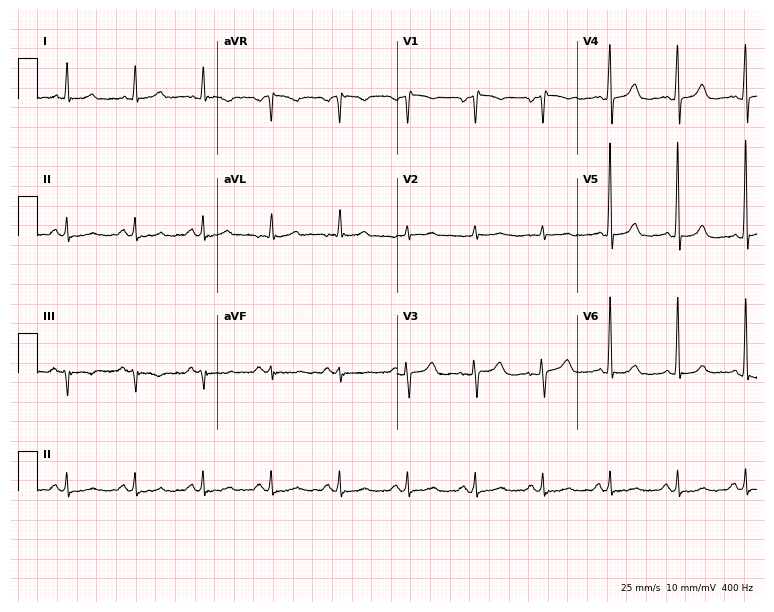
Standard 12-lead ECG recorded from a 79-year-old male (7.3-second recording at 400 Hz). None of these six findings is recorded: first-degree AV block, right bundle branch block, left bundle branch block, sinus bradycardia, atrial fibrillation, sinus tachycardia. Other findings, if any, are not listed.